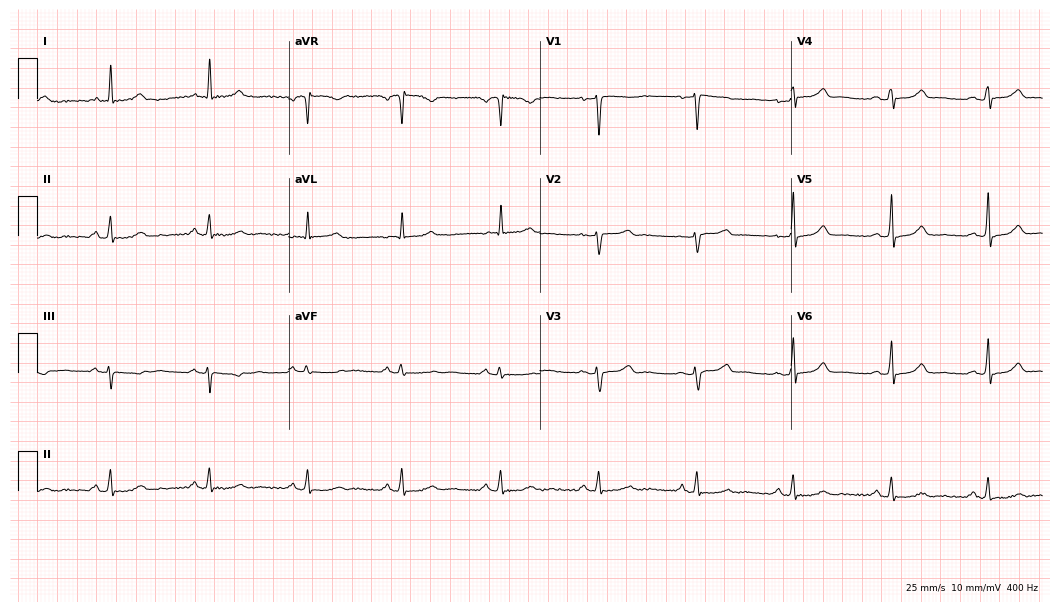
12-lead ECG (10.2-second recording at 400 Hz) from a 62-year-old female patient. Labelled as a normal ECG.